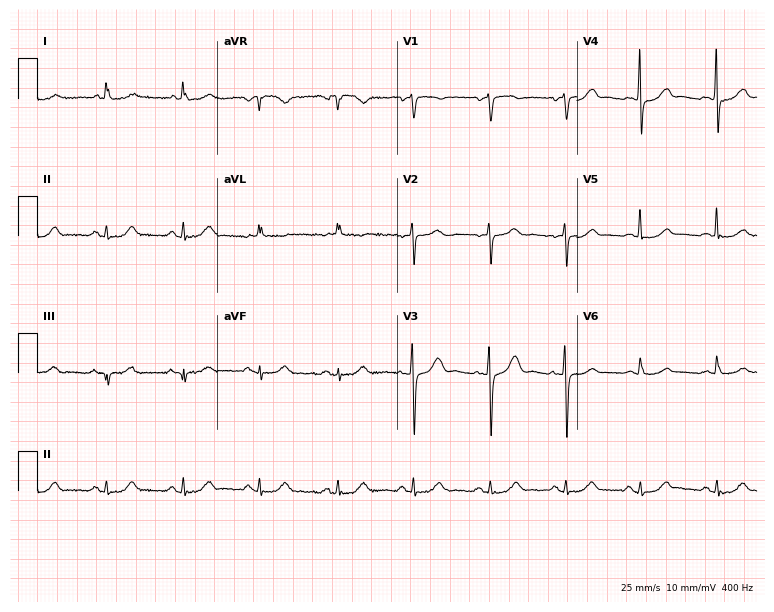
Standard 12-lead ECG recorded from a woman, 74 years old (7.3-second recording at 400 Hz). Read as a normal ECG.